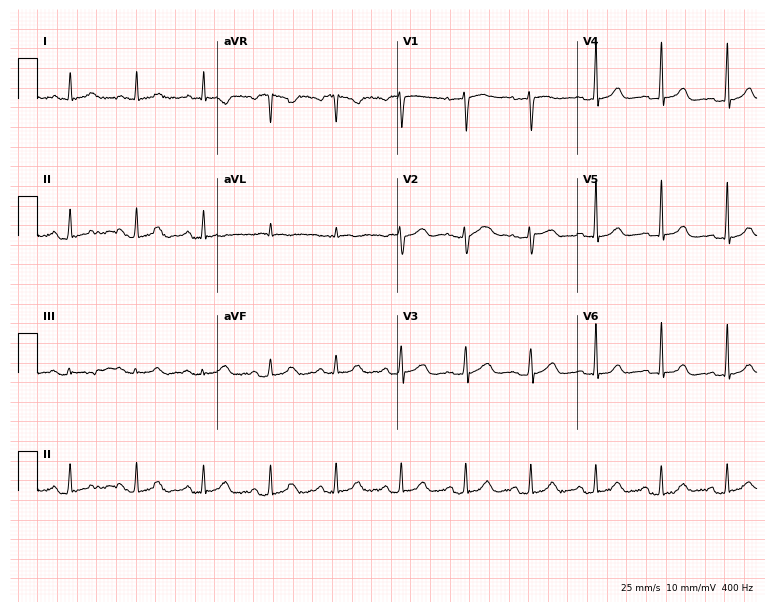
ECG — a 57-year-old female patient. Labelled as a normal ECG.